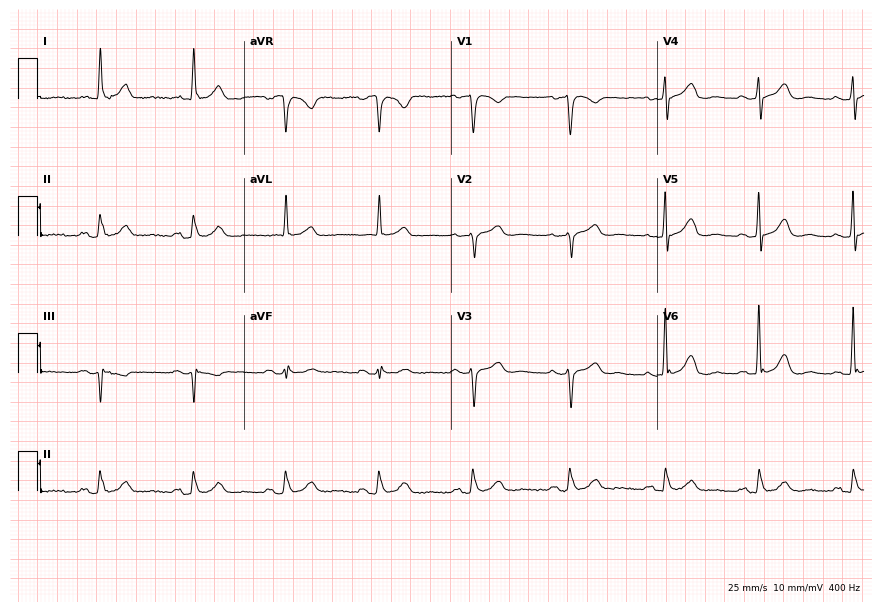
12-lead ECG from a man, 83 years old. No first-degree AV block, right bundle branch block, left bundle branch block, sinus bradycardia, atrial fibrillation or sinus tachycardia recorded for this tracing.